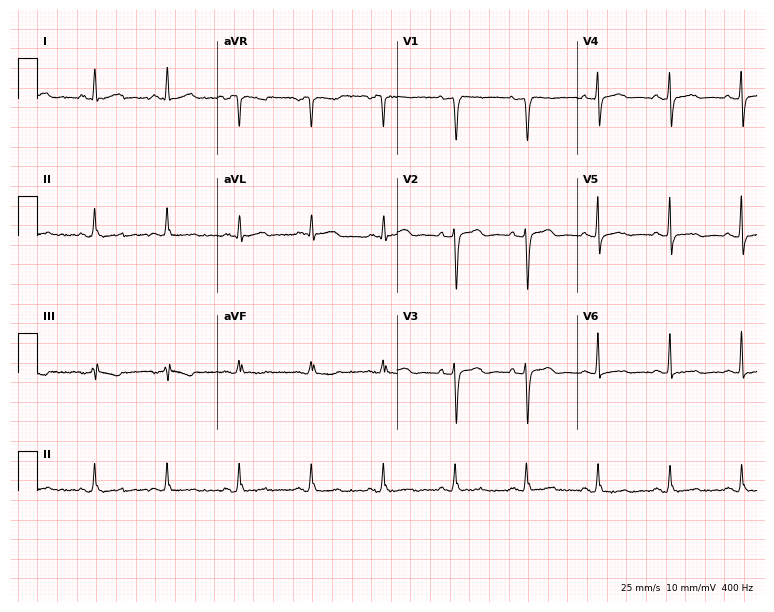
Standard 12-lead ECG recorded from a 66-year-old male (7.3-second recording at 400 Hz). None of these six findings is recorded: first-degree AV block, right bundle branch block (RBBB), left bundle branch block (LBBB), sinus bradycardia, atrial fibrillation (AF), sinus tachycardia.